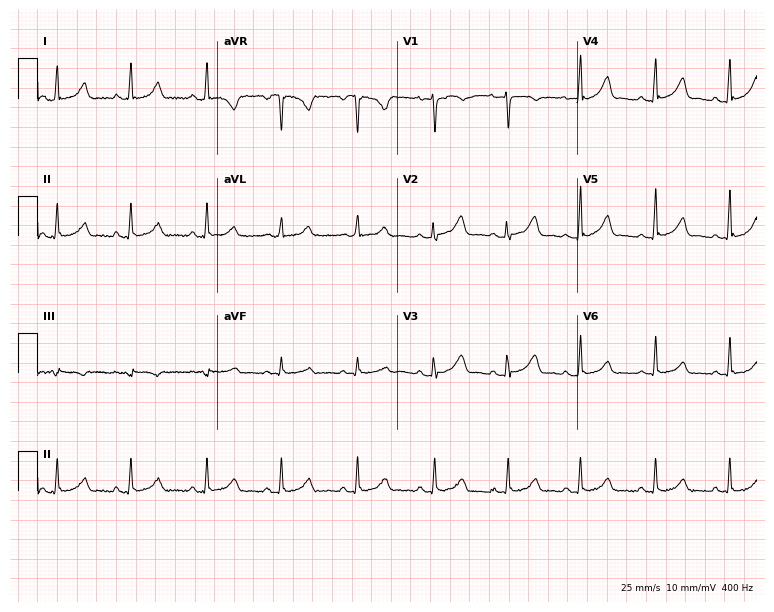
Resting 12-lead electrocardiogram (7.3-second recording at 400 Hz). Patient: a 42-year-old female. Read as a normal ECG.